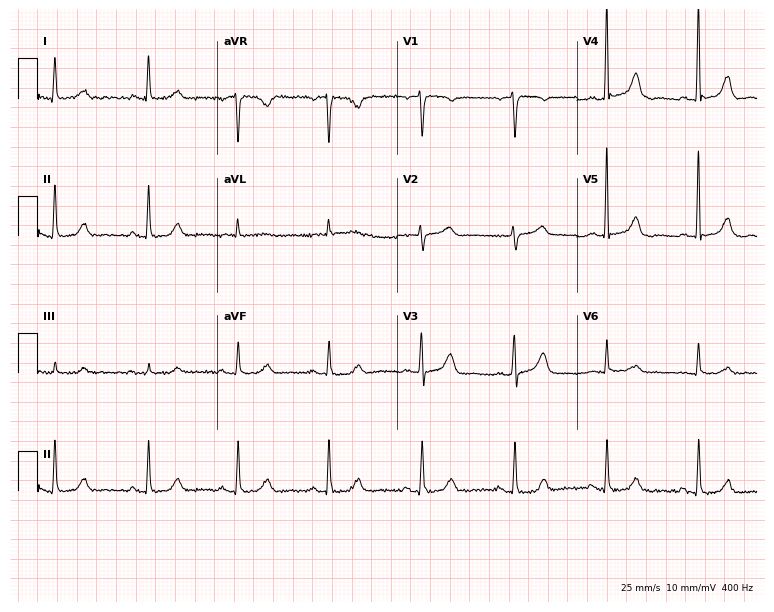
12-lead ECG (7.3-second recording at 400 Hz) from a 77-year-old woman. Screened for six findings — first-degree AV block, right bundle branch block, left bundle branch block, sinus bradycardia, atrial fibrillation, sinus tachycardia — none is recorded. Other findings, if any, are not listed.